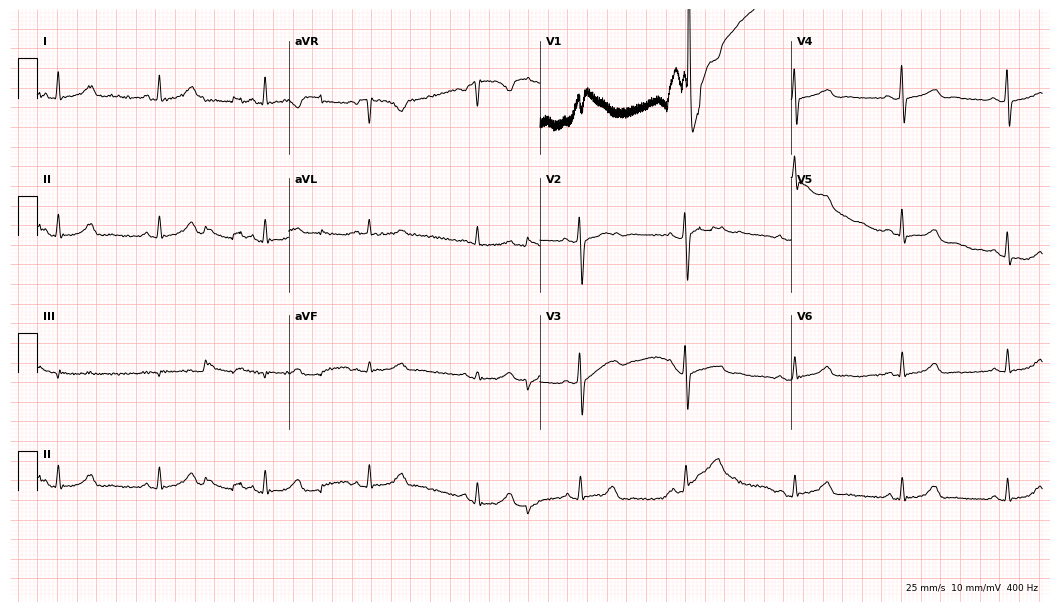
Resting 12-lead electrocardiogram (10.2-second recording at 400 Hz). Patient: a female, 52 years old. None of these six findings is recorded: first-degree AV block, right bundle branch block, left bundle branch block, sinus bradycardia, atrial fibrillation, sinus tachycardia.